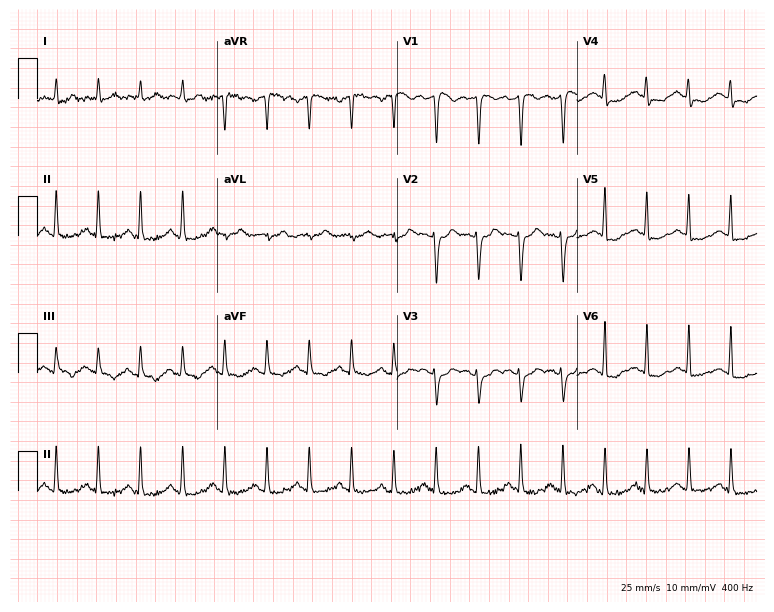
Resting 12-lead electrocardiogram (7.3-second recording at 400 Hz). Patient: a woman, 46 years old. None of these six findings is recorded: first-degree AV block, right bundle branch block, left bundle branch block, sinus bradycardia, atrial fibrillation, sinus tachycardia.